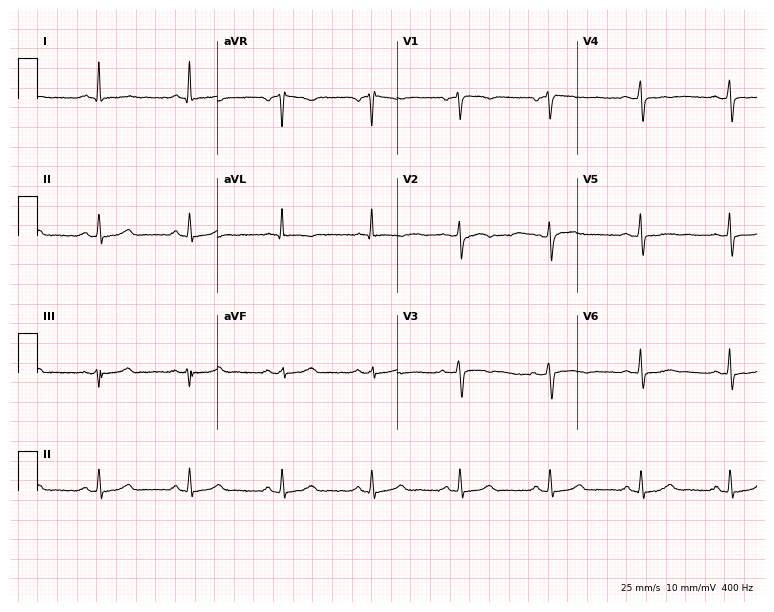
Electrocardiogram, a woman, 38 years old. Of the six screened findings (first-degree AV block, right bundle branch block, left bundle branch block, sinus bradycardia, atrial fibrillation, sinus tachycardia), none is recorded. Other findings, if any, are not listed.